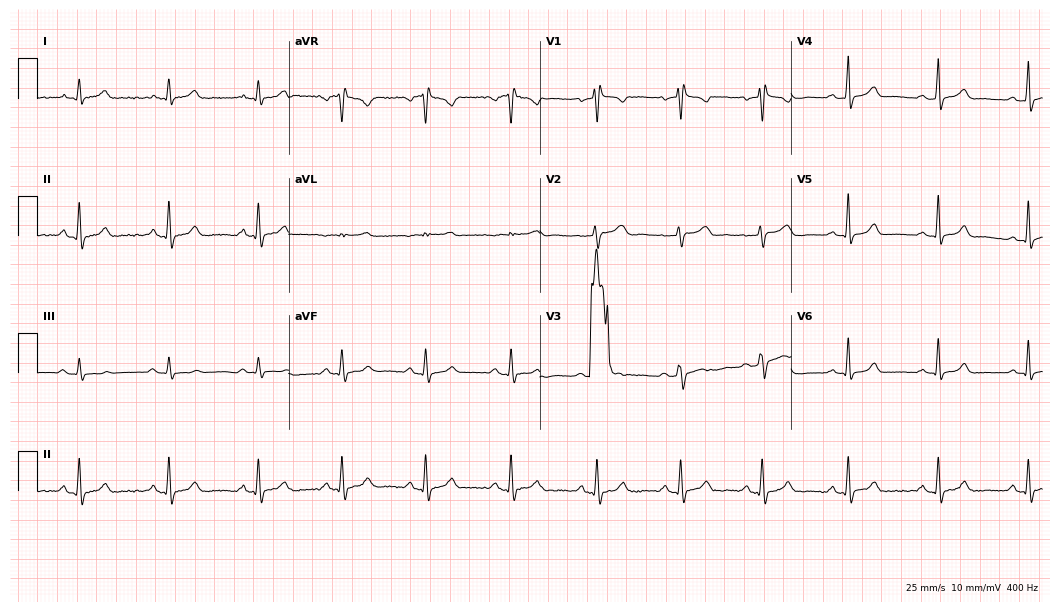
Electrocardiogram (10.2-second recording at 400 Hz), a woman, 33 years old. Of the six screened findings (first-degree AV block, right bundle branch block, left bundle branch block, sinus bradycardia, atrial fibrillation, sinus tachycardia), none is recorded.